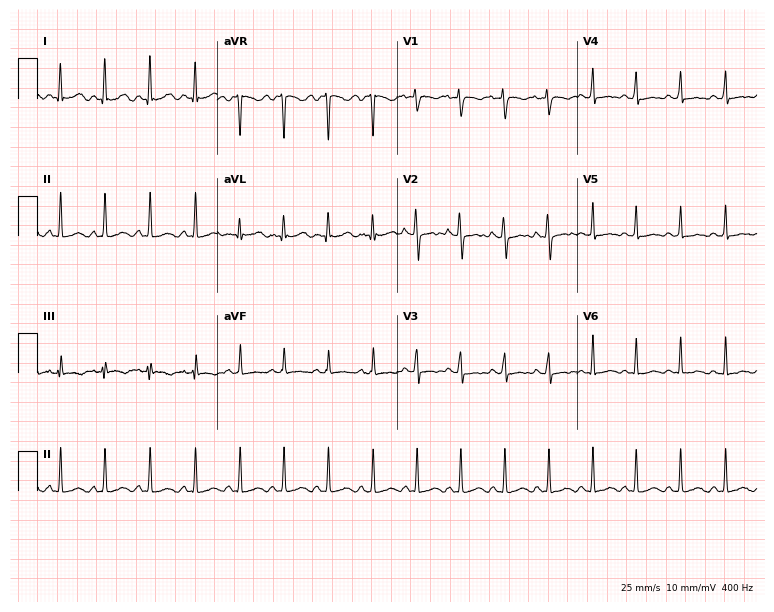
Standard 12-lead ECG recorded from an 18-year-old female (7.3-second recording at 400 Hz). The tracing shows sinus tachycardia (a sinus rate of 100 beats per minute or more).